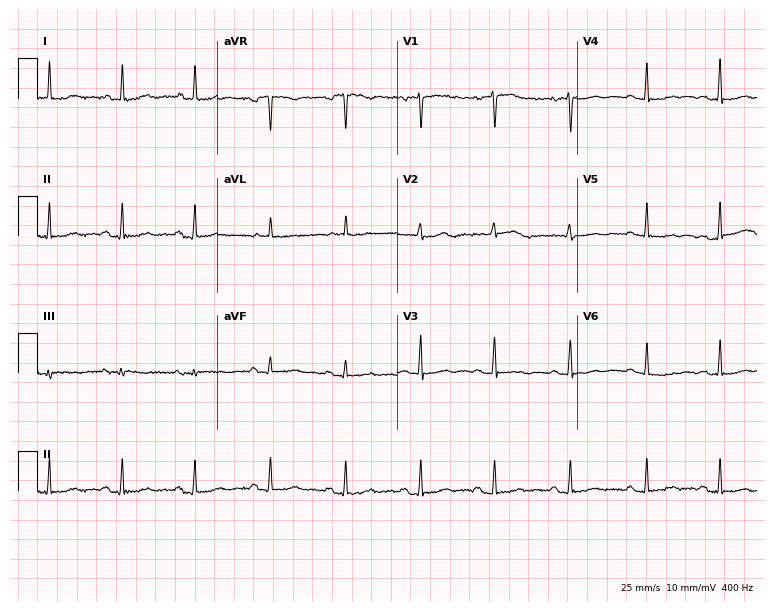
12-lead ECG from a woman, 55 years old (7.3-second recording at 400 Hz). No first-degree AV block, right bundle branch block, left bundle branch block, sinus bradycardia, atrial fibrillation or sinus tachycardia recorded for this tracing.